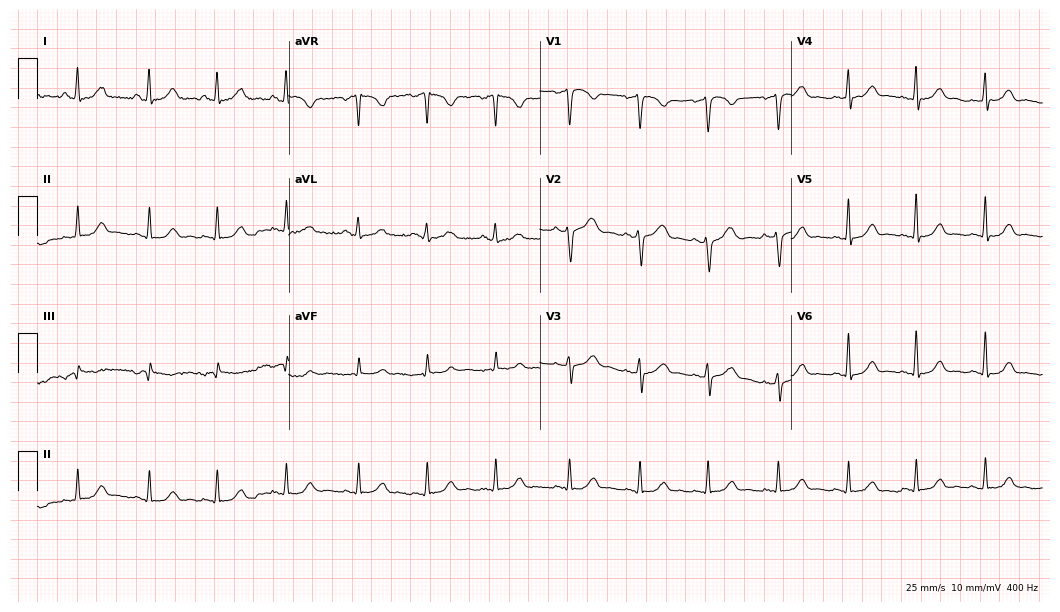
12-lead ECG from a 37-year-old woman. Labelled as a normal ECG.